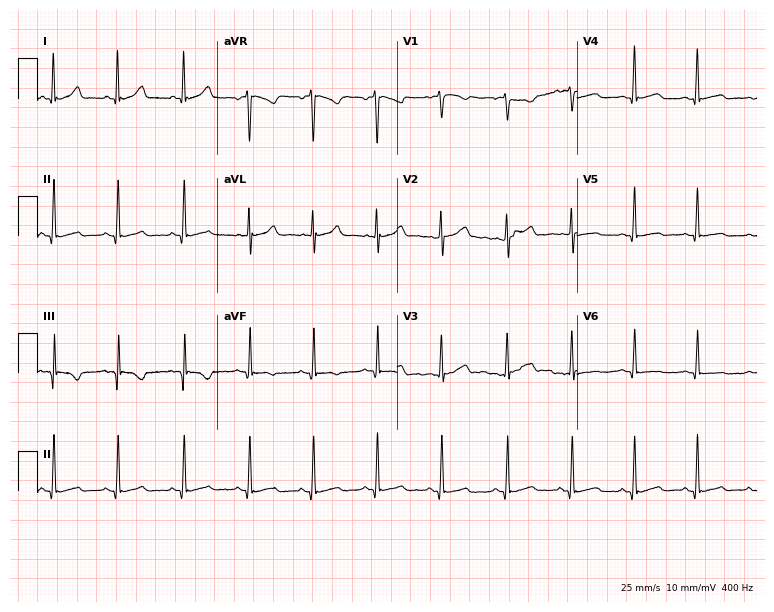
12-lead ECG from a woman, 23 years old. Recorded interpretation: within normal limits.